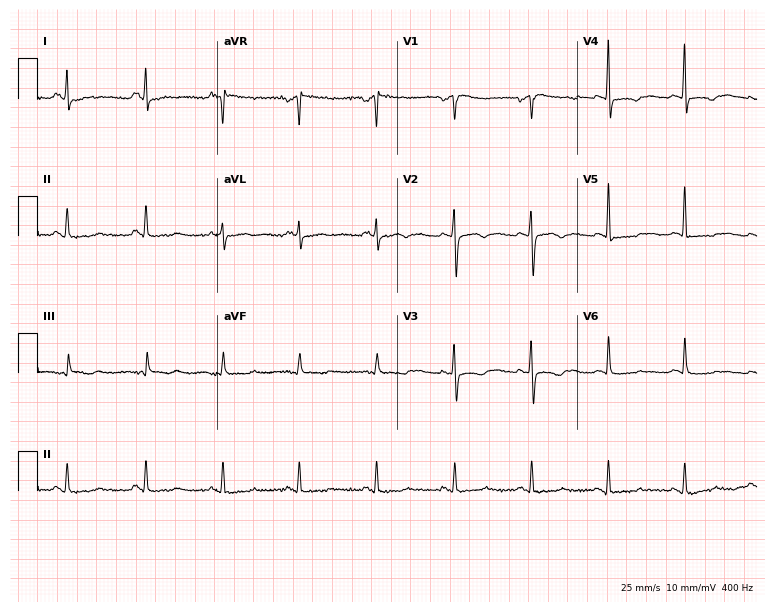
Resting 12-lead electrocardiogram. Patient: a 53-year-old female. None of these six findings is recorded: first-degree AV block, right bundle branch block, left bundle branch block, sinus bradycardia, atrial fibrillation, sinus tachycardia.